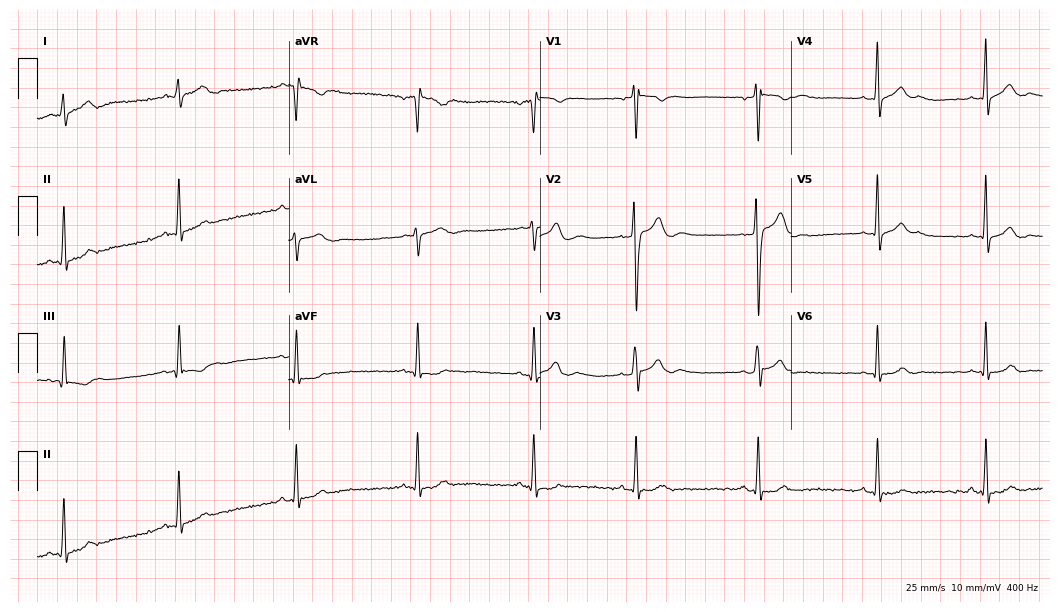
12-lead ECG (10.2-second recording at 400 Hz) from a man, 19 years old. Screened for six findings — first-degree AV block, right bundle branch block, left bundle branch block, sinus bradycardia, atrial fibrillation, sinus tachycardia — none is recorded.